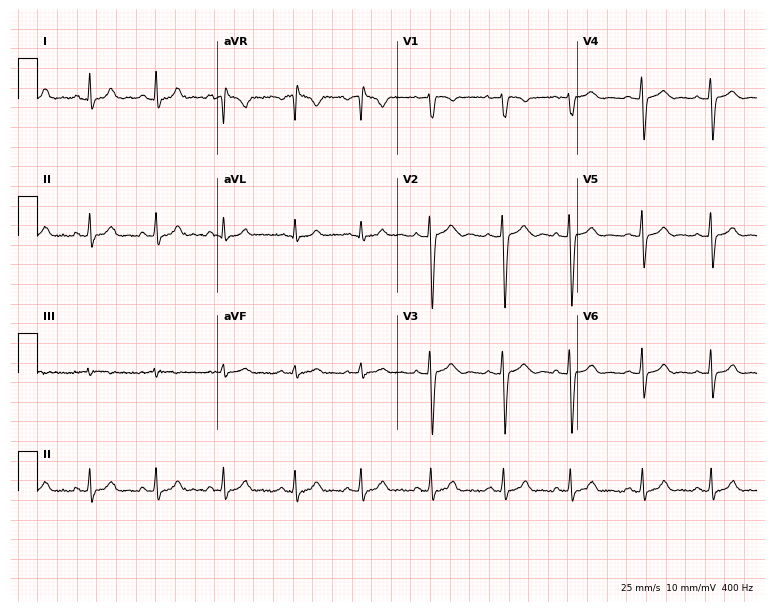
Resting 12-lead electrocardiogram. Patient: a woman, 30 years old. Read as a normal ECG.